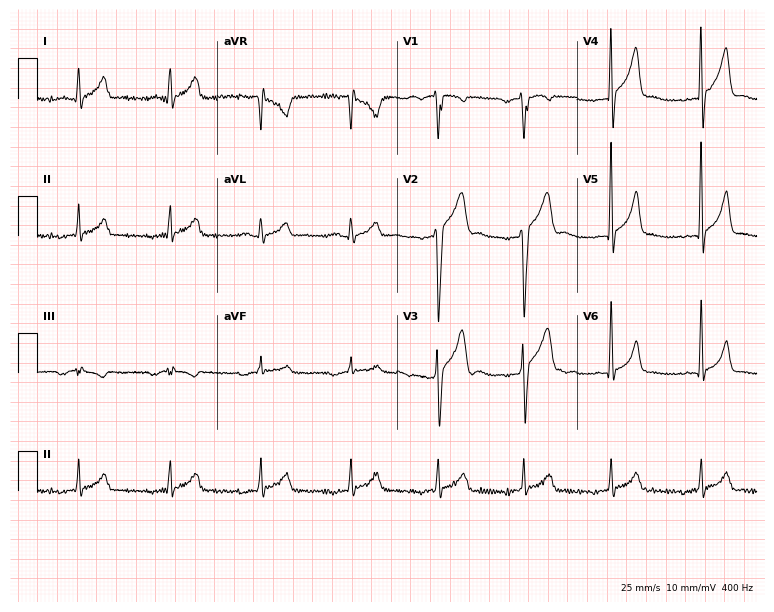
Resting 12-lead electrocardiogram (7.3-second recording at 400 Hz). Patient: a 19-year-old male. Read as a normal ECG.